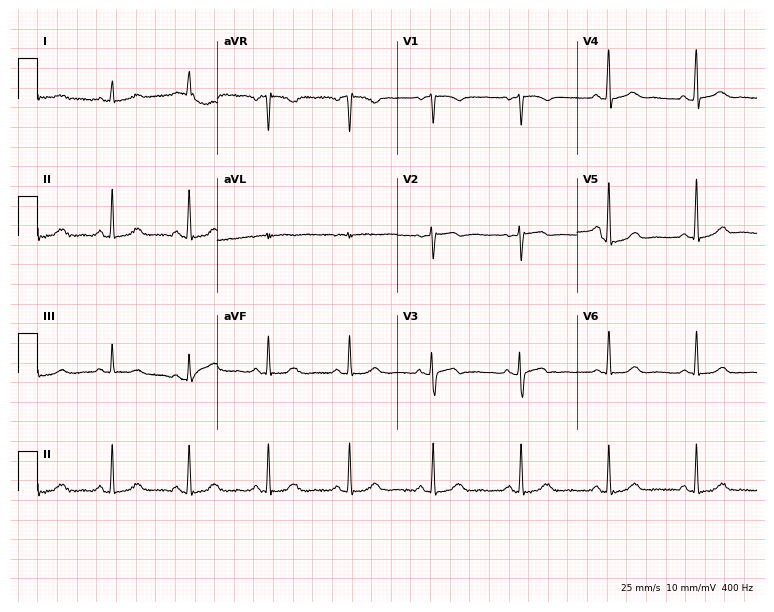
12-lead ECG from a 51-year-old female patient (7.3-second recording at 400 Hz). Recorded interpretation: within normal limits.